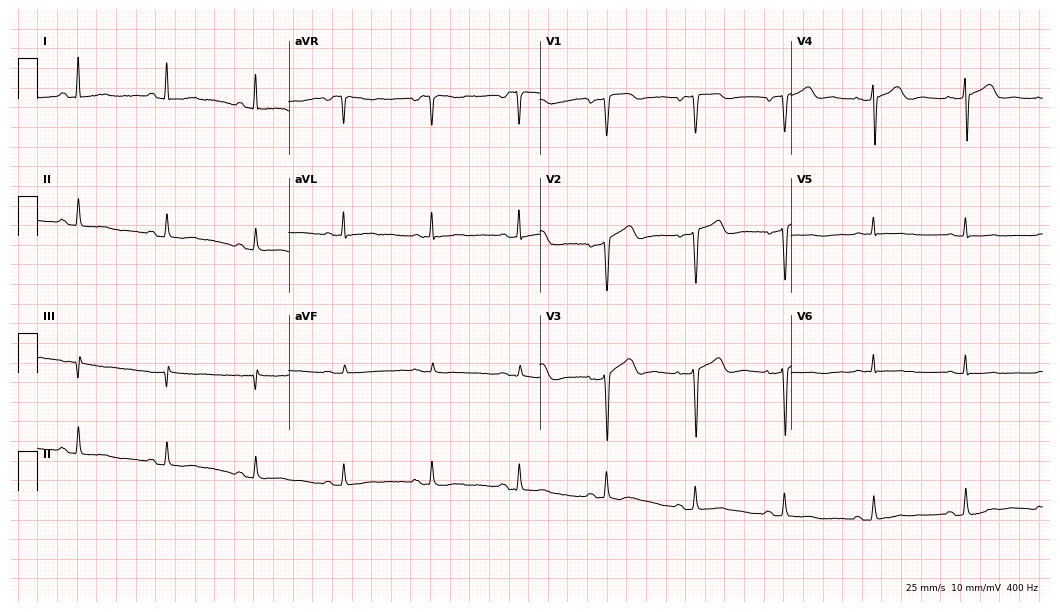
Electrocardiogram (10.2-second recording at 400 Hz), a 69-year-old woman. Overall reading on record: normal ECG.